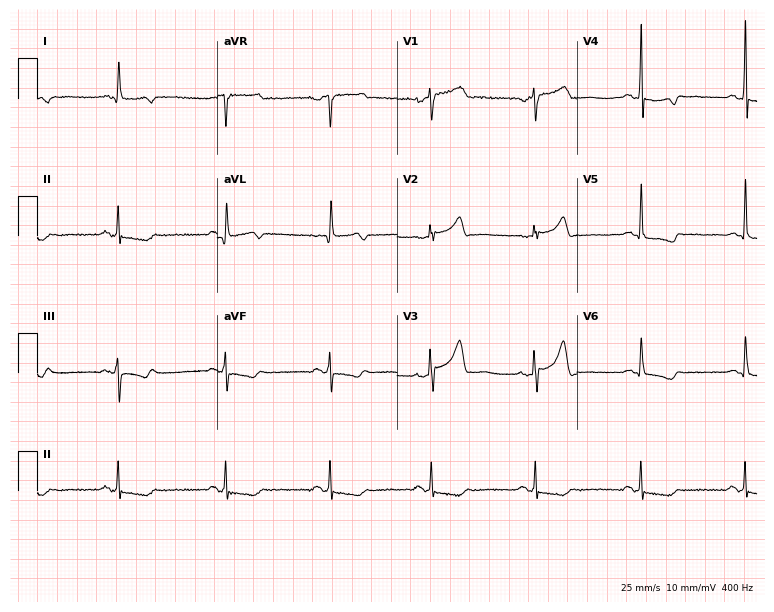
Electrocardiogram (7.3-second recording at 400 Hz), a 58-year-old male patient. Of the six screened findings (first-degree AV block, right bundle branch block (RBBB), left bundle branch block (LBBB), sinus bradycardia, atrial fibrillation (AF), sinus tachycardia), none is recorded. Findings outside these six are not listed.